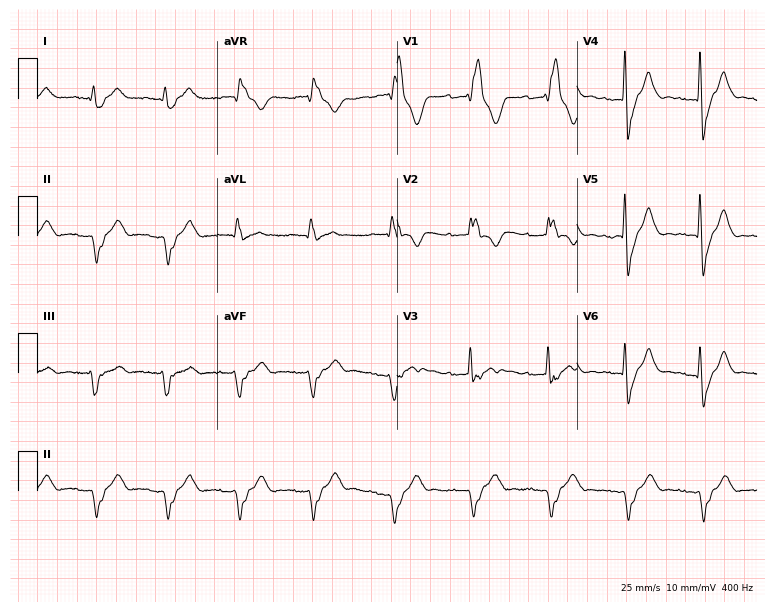
Electrocardiogram, a male patient, 74 years old. Interpretation includes right bundle branch block.